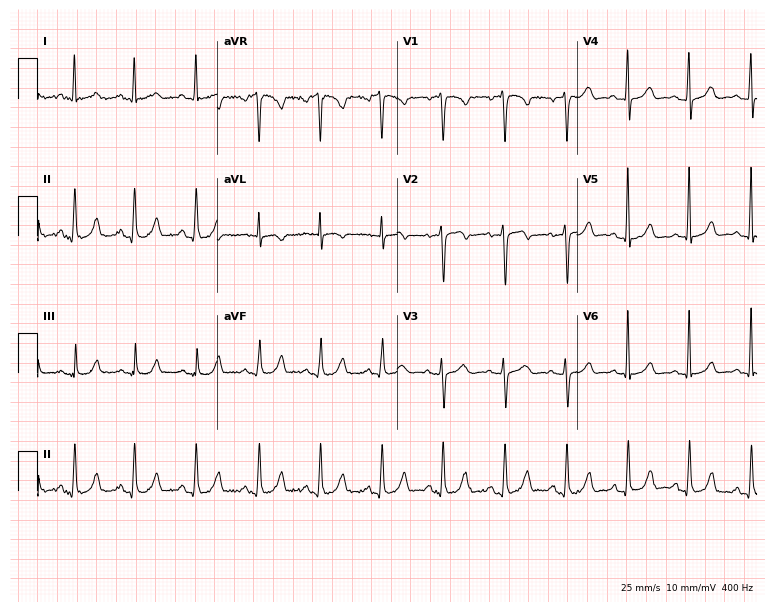
Electrocardiogram (7.3-second recording at 400 Hz), a female patient, 49 years old. Overall reading on record: normal ECG.